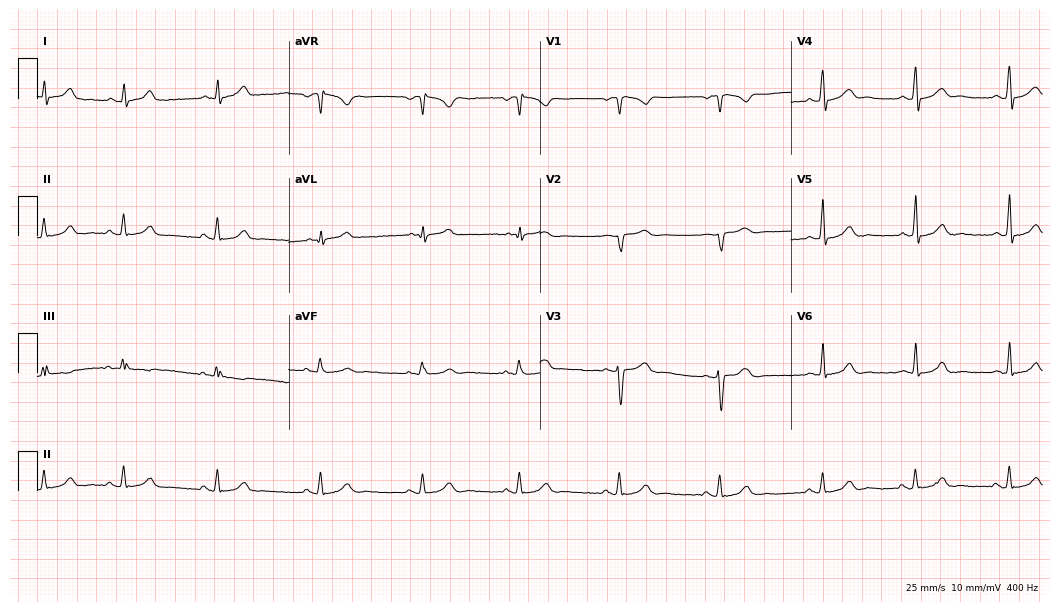
12-lead ECG from a female patient, 22 years old. No first-degree AV block, right bundle branch block (RBBB), left bundle branch block (LBBB), sinus bradycardia, atrial fibrillation (AF) or sinus tachycardia recorded for this tracing. Only these six findings were labelled.